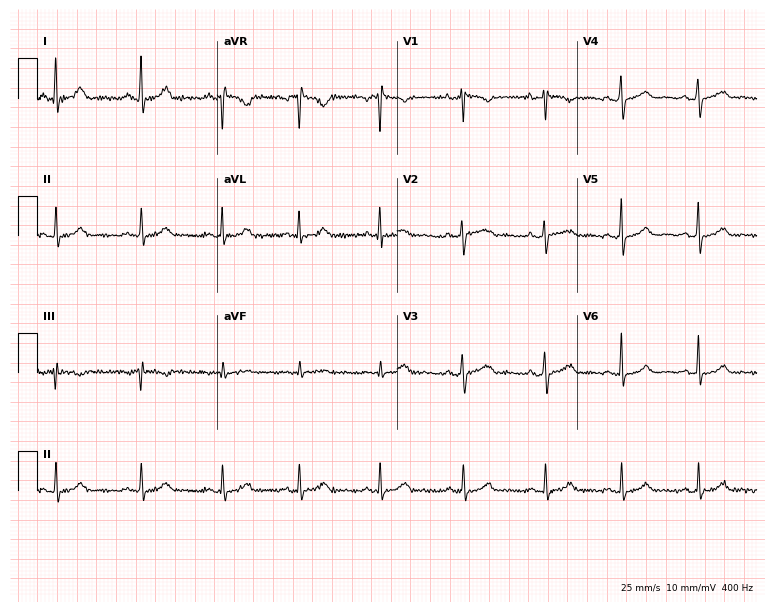
Standard 12-lead ECG recorded from a 34-year-old female patient (7.3-second recording at 400 Hz). Read as a normal ECG.